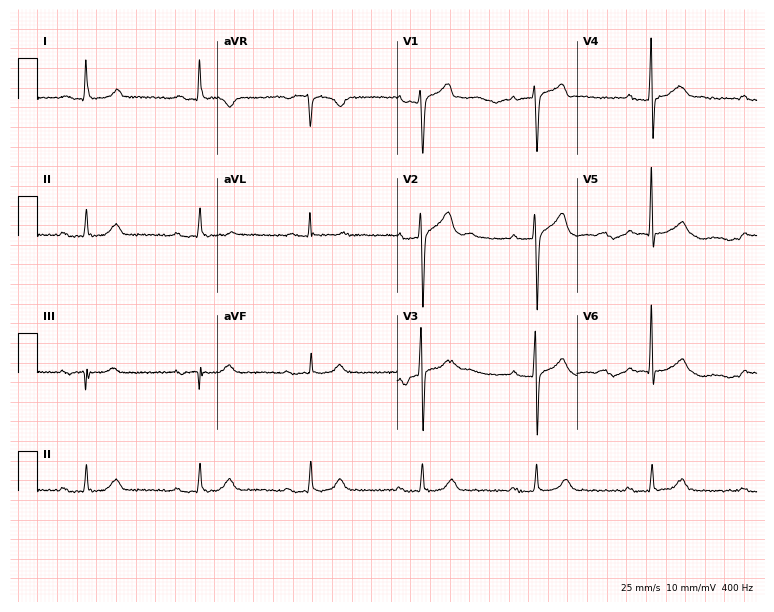
12-lead ECG from a 57-year-old man (7.3-second recording at 400 Hz). Recorded interpretation: within normal limits.